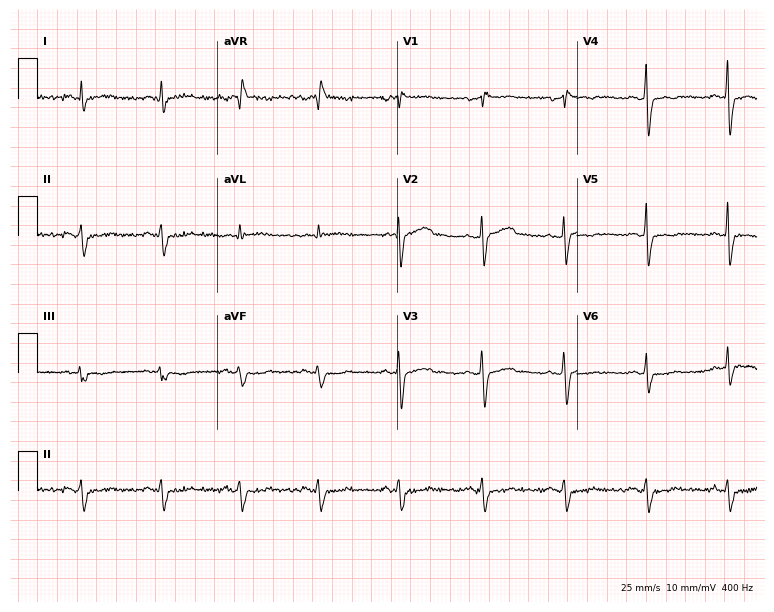
Electrocardiogram (7.3-second recording at 400 Hz), a male patient, 64 years old. Of the six screened findings (first-degree AV block, right bundle branch block, left bundle branch block, sinus bradycardia, atrial fibrillation, sinus tachycardia), none is recorded. Other findings, if any, are not listed.